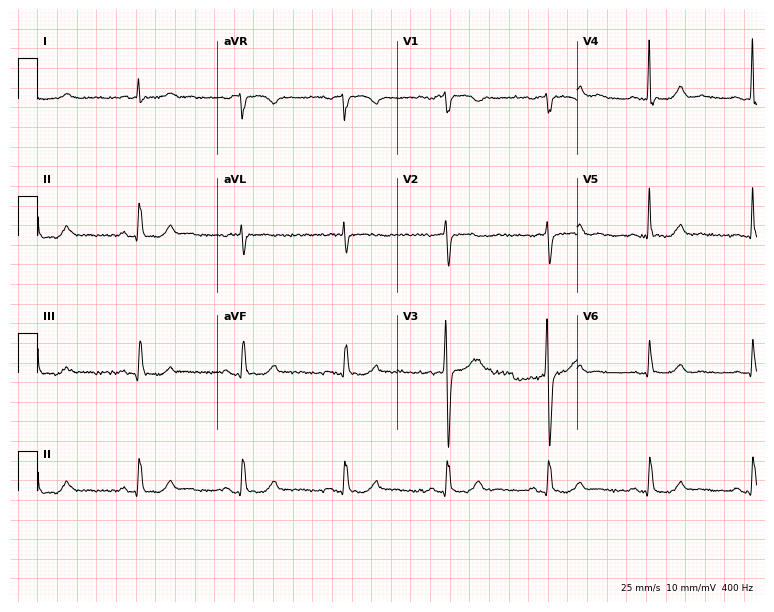
12-lead ECG from a female, 73 years old (7.3-second recording at 400 Hz). No first-degree AV block, right bundle branch block, left bundle branch block, sinus bradycardia, atrial fibrillation or sinus tachycardia recorded for this tracing.